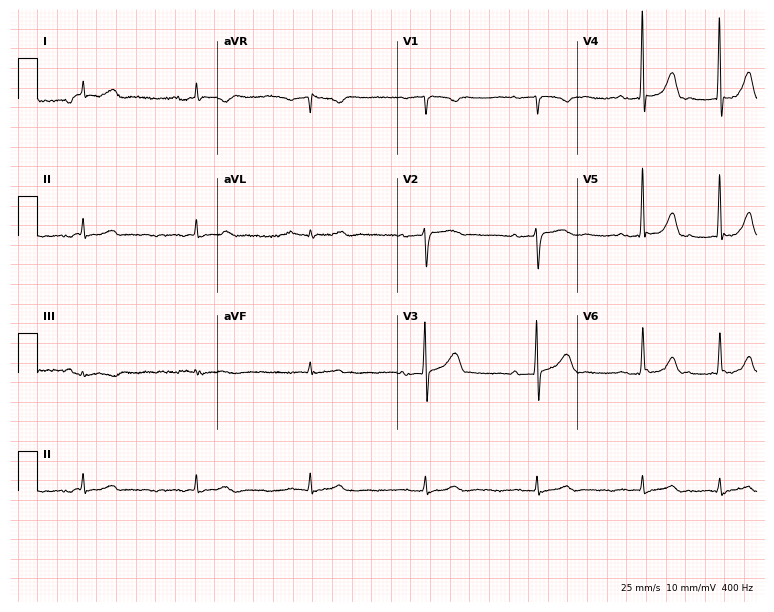
Resting 12-lead electrocardiogram. Patient: a 65-year-old male. Read as a normal ECG.